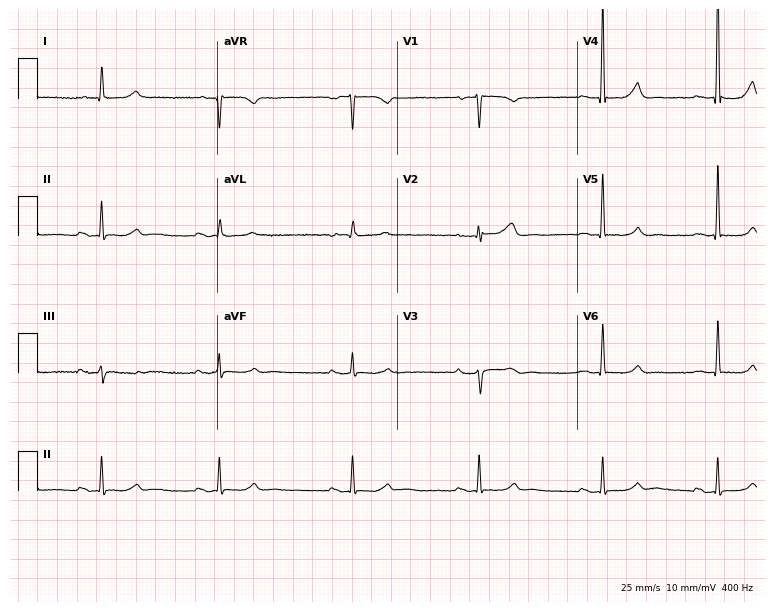
12-lead ECG (7.3-second recording at 400 Hz) from a 68-year-old female. Findings include first-degree AV block.